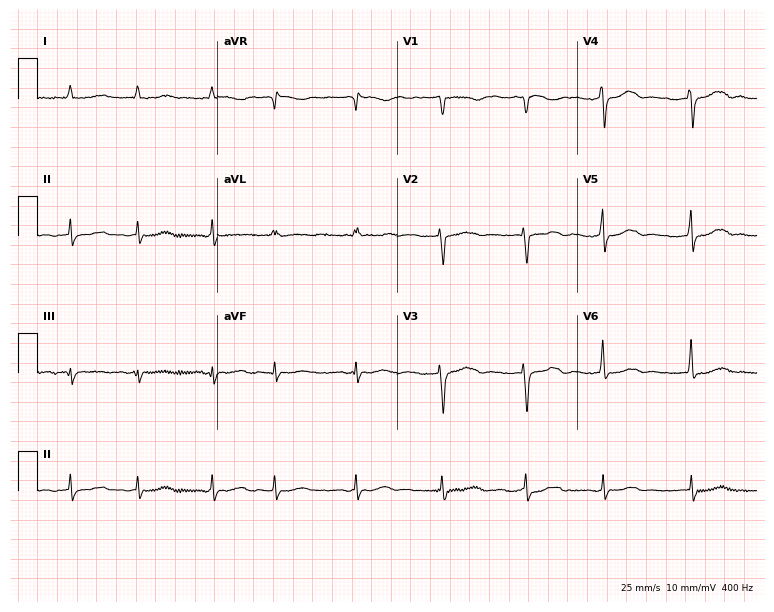
Resting 12-lead electrocardiogram. Patient: a woman, 75 years old. The tracing shows atrial fibrillation (AF).